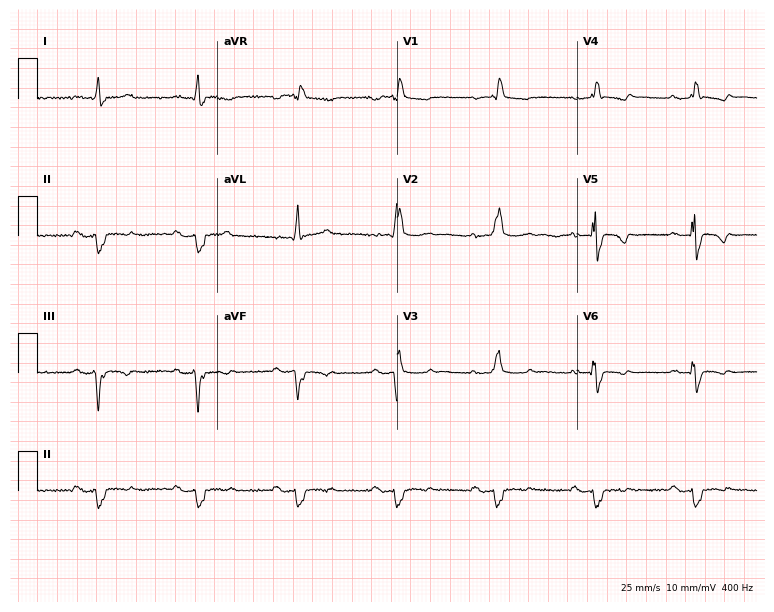
12-lead ECG (7.3-second recording at 400 Hz) from a 67-year-old man. Findings include first-degree AV block, right bundle branch block (RBBB).